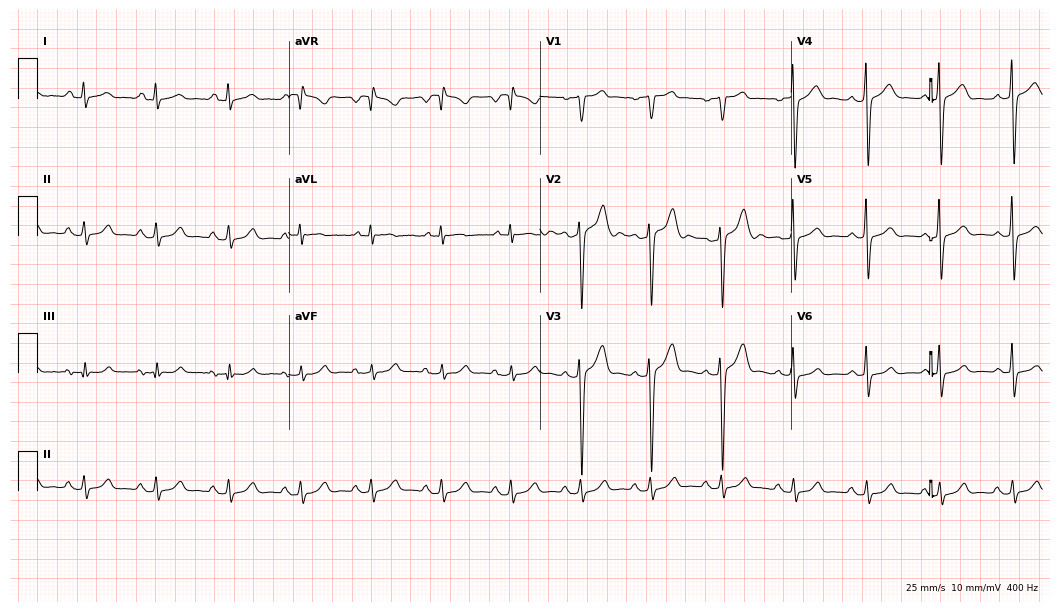
12-lead ECG from a man, 31 years old. Screened for six findings — first-degree AV block, right bundle branch block, left bundle branch block, sinus bradycardia, atrial fibrillation, sinus tachycardia — none is recorded. Only these six findings were labelled.